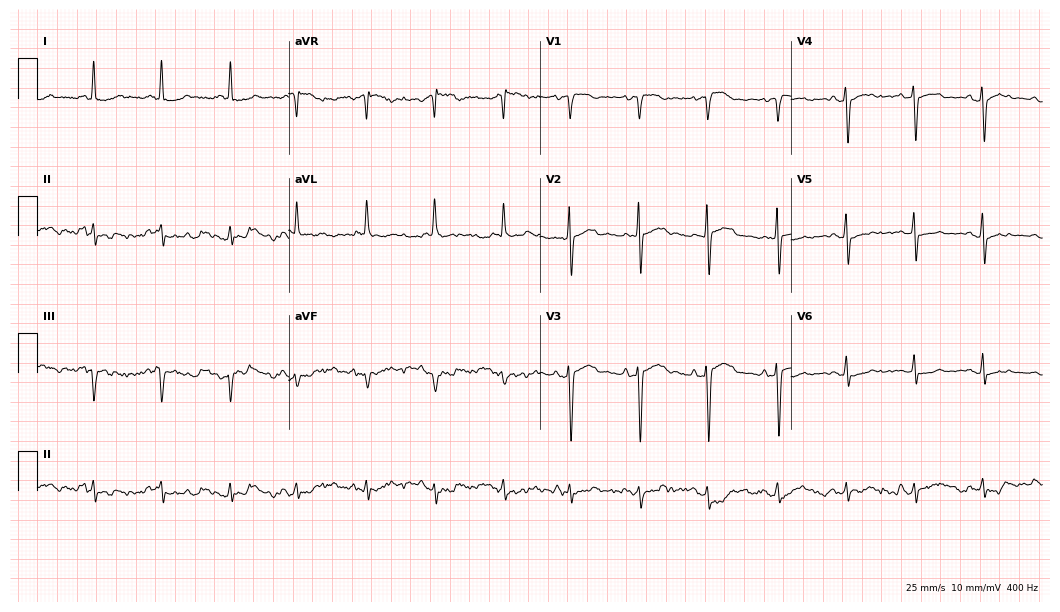
Resting 12-lead electrocardiogram. Patient: an 82-year-old female. None of these six findings is recorded: first-degree AV block, right bundle branch block, left bundle branch block, sinus bradycardia, atrial fibrillation, sinus tachycardia.